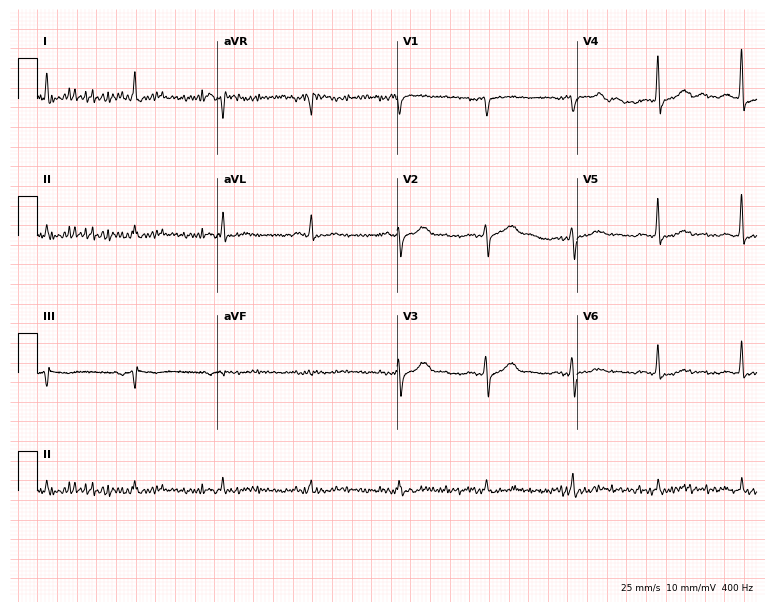
Resting 12-lead electrocardiogram. Patient: a male, 83 years old. Read as a normal ECG.